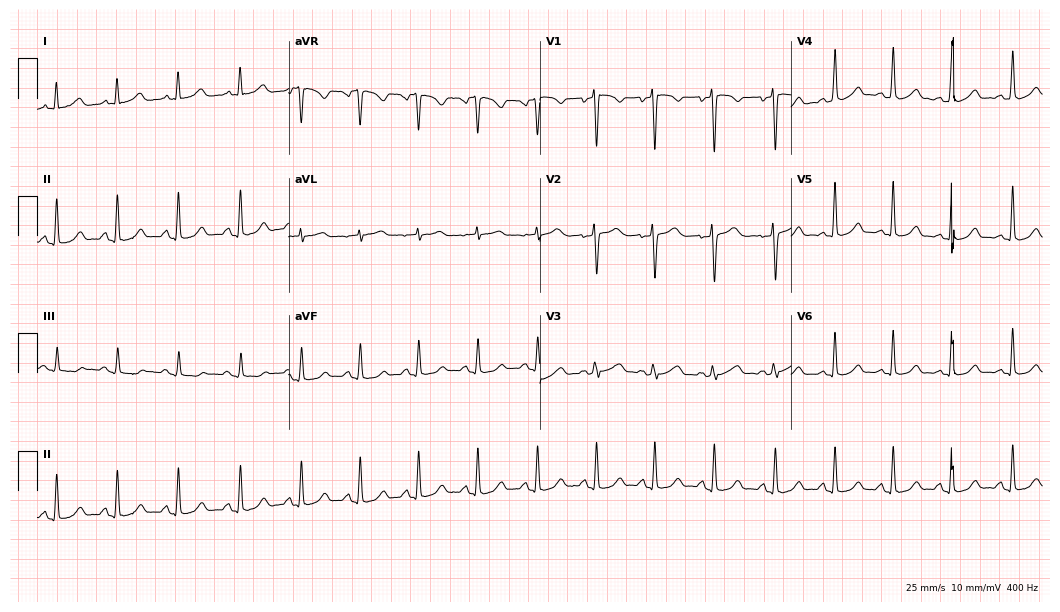
Standard 12-lead ECG recorded from a 27-year-old woman (10.2-second recording at 400 Hz). None of these six findings is recorded: first-degree AV block, right bundle branch block, left bundle branch block, sinus bradycardia, atrial fibrillation, sinus tachycardia. Only these six findings were labelled.